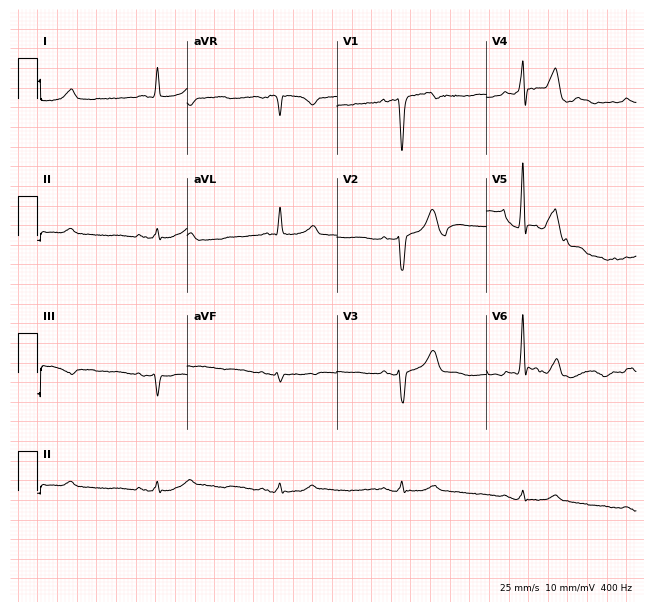
ECG (6.1-second recording at 400 Hz) — a man, 76 years old. Findings include sinus bradycardia (a sinus rate of 50 beats per minute or less).